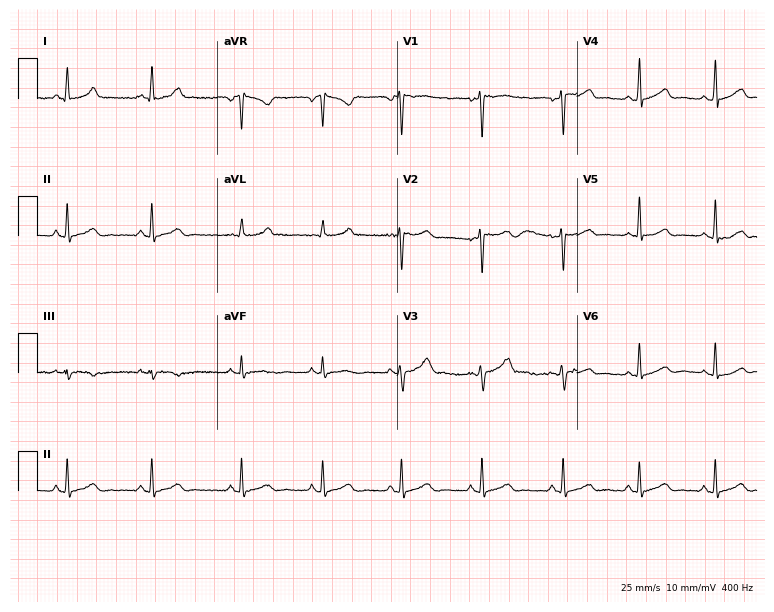
Electrocardiogram, a female, 34 years old. Overall reading on record: normal ECG.